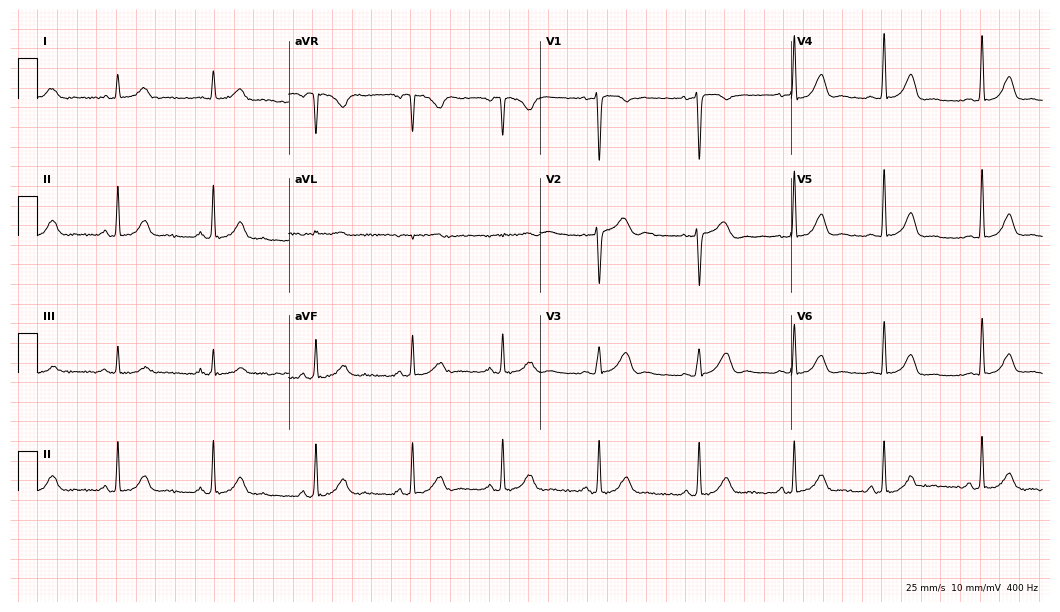
ECG (10.2-second recording at 400 Hz) — a female, 42 years old. Labelled as a normal ECG.